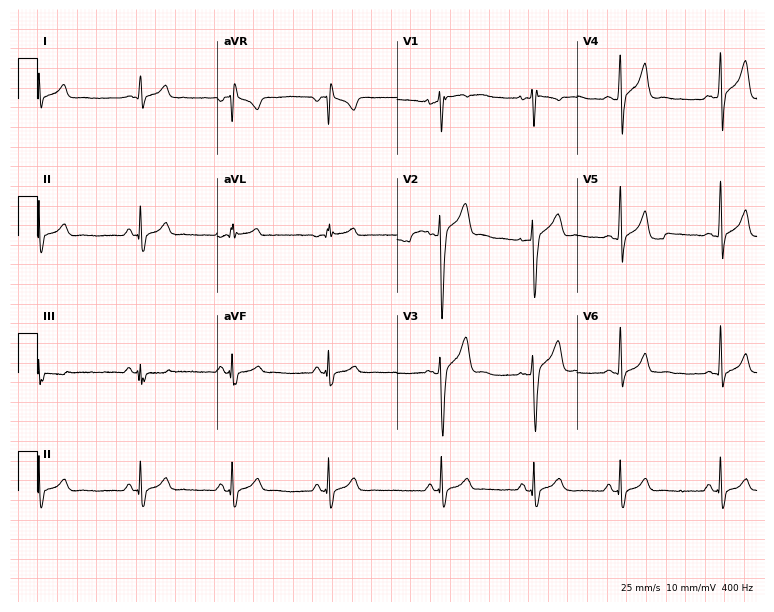
12-lead ECG from a 19-year-old male. Recorded interpretation: within normal limits.